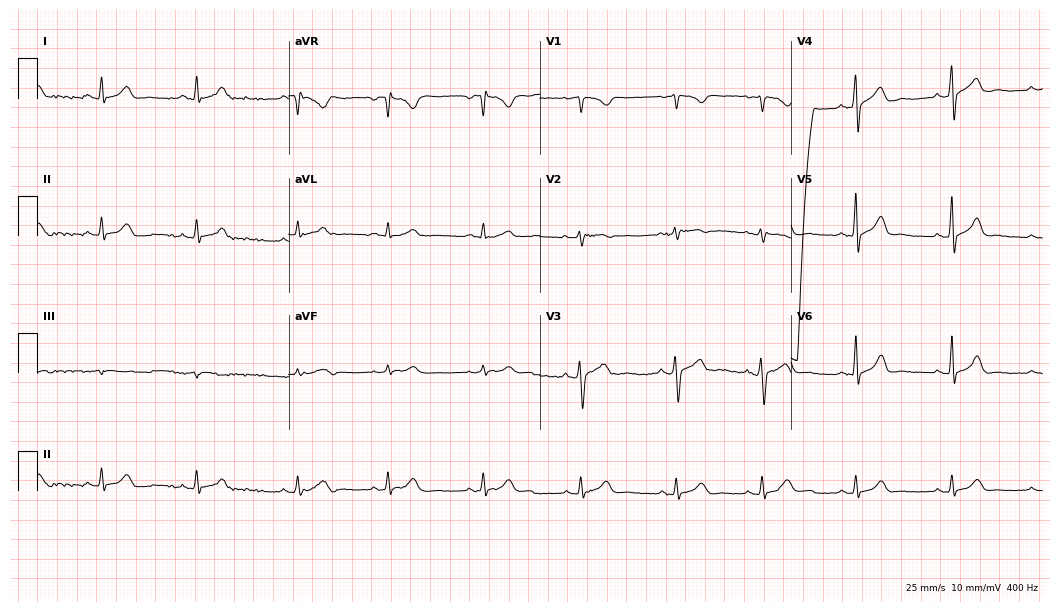
Electrocardiogram, a 33-year-old female patient. Of the six screened findings (first-degree AV block, right bundle branch block (RBBB), left bundle branch block (LBBB), sinus bradycardia, atrial fibrillation (AF), sinus tachycardia), none is recorded.